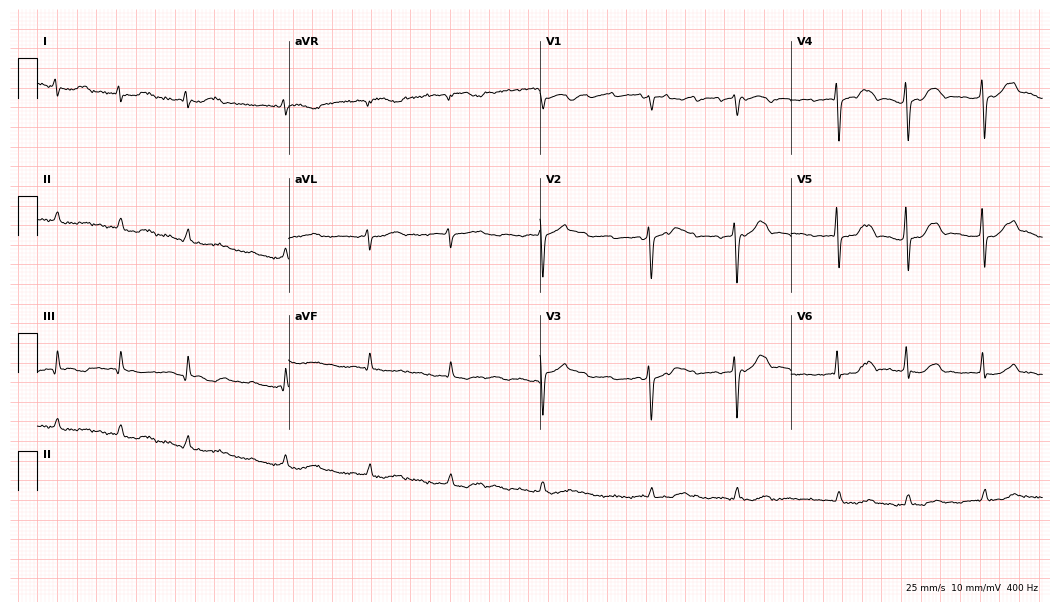
Resting 12-lead electrocardiogram (10.2-second recording at 400 Hz). Patient: a male, 77 years old. None of these six findings is recorded: first-degree AV block, right bundle branch block, left bundle branch block, sinus bradycardia, atrial fibrillation, sinus tachycardia. Findings outside these six are not listed.